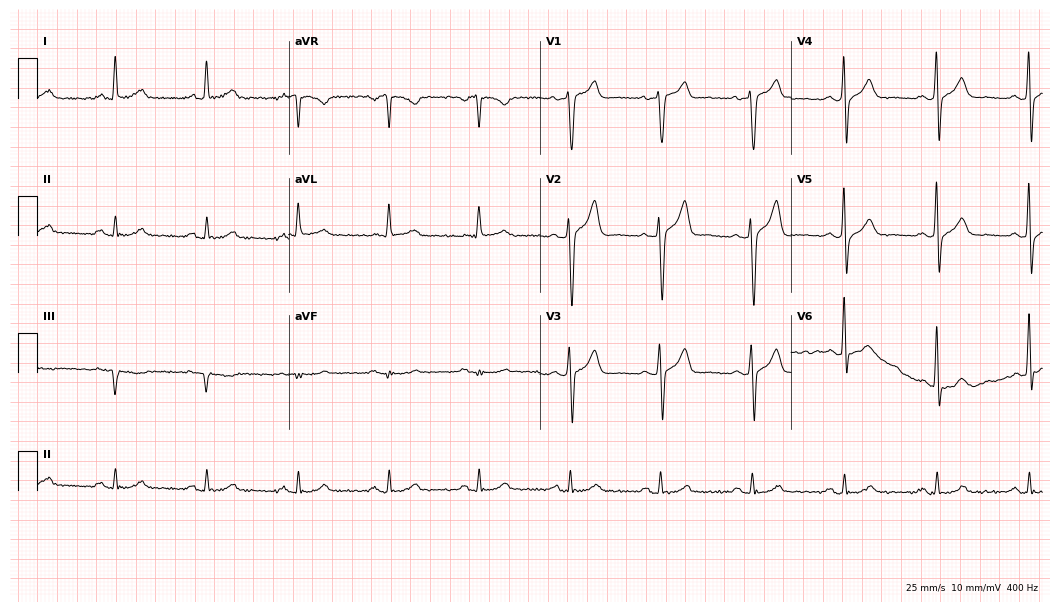
12-lead ECG (10.2-second recording at 400 Hz) from a 60-year-old male patient. Screened for six findings — first-degree AV block, right bundle branch block, left bundle branch block, sinus bradycardia, atrial fibrillation, sinus tachycardia — none is recorded. Other findings, if any, are not listed.